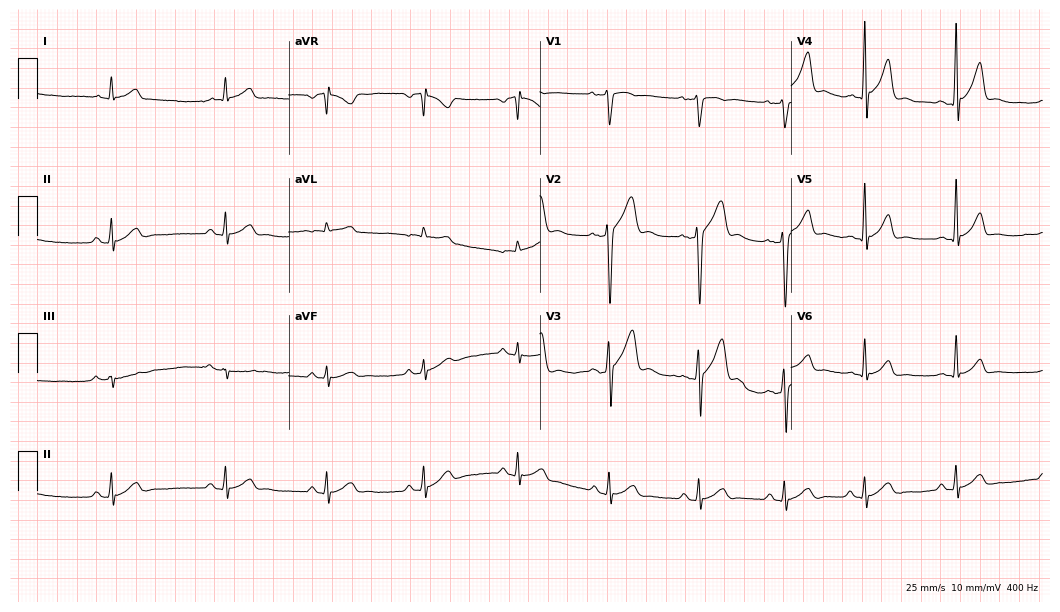
12-lead ECG from a 32-year-old male (10.2-second recording at 400 Hz). No first-degree AV block, right bundle branch block, left bundle branch block, sinus bradycardia, atrial fibrillation or sinus tachycardia recorded for this tracing.